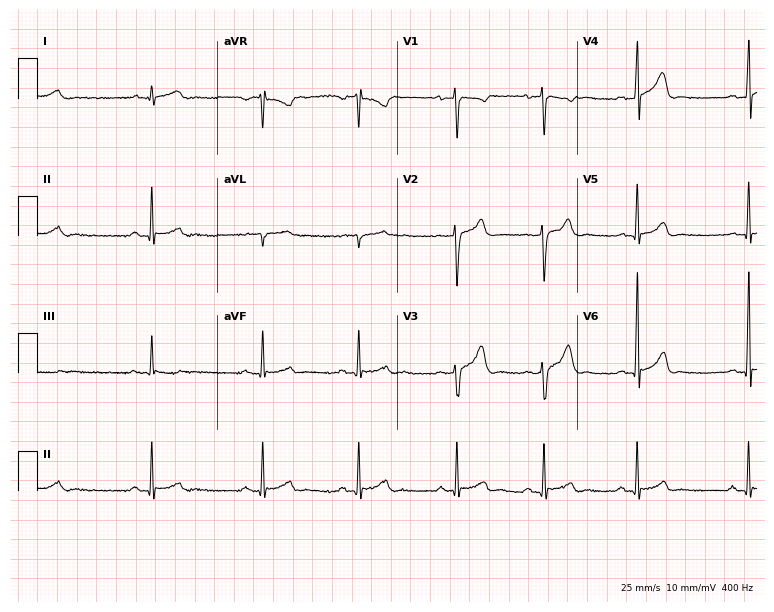
ECG (7.3-second recording at 400 Hz) — a 23-year-old male. Labelled as a normal ECG.